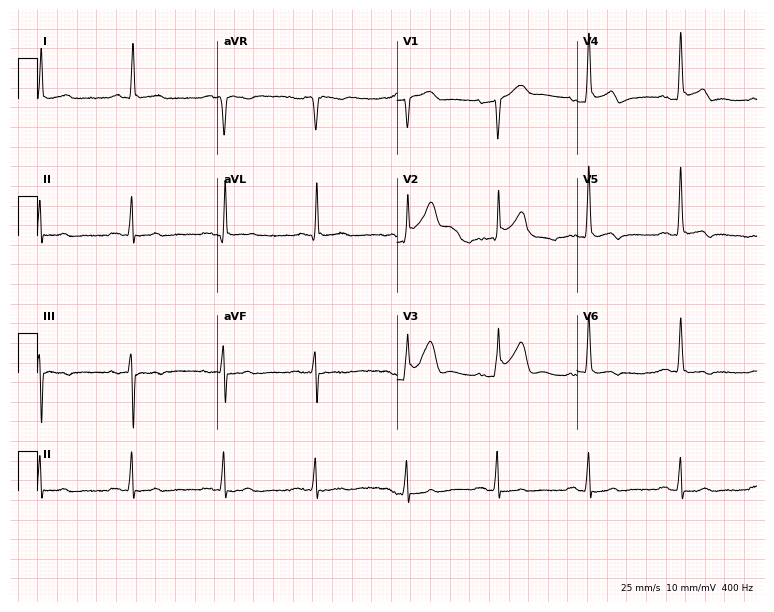
Resting 12-lead electrocardiogram (7.3-second recording at 400 Hz). Patient: a 74-year-old male. None of these six findings is recorded: first-degree AV block, right bundle branch block, left bundle branch block, sinus bradycardia, atrial fibrillation, sinus tachycardia. Only these six findings were labelled.